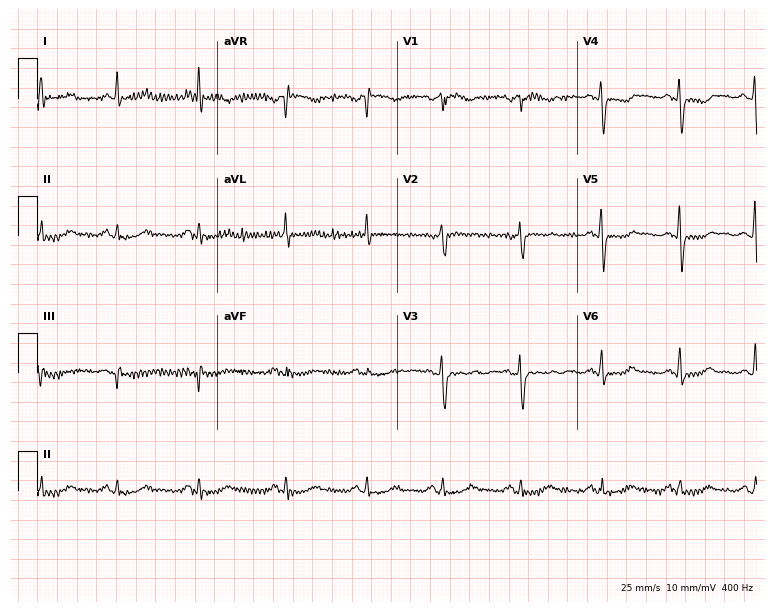
Standard 12-lead ECG recorded from a female, 53 years old (7.3-second recording at 400 Hz). None of these six findings is recorded: first-degree AV block, right bundle branch block, left bundle branch block, sinus bradycardia, atrial fibrillation, sinus tachycardia.